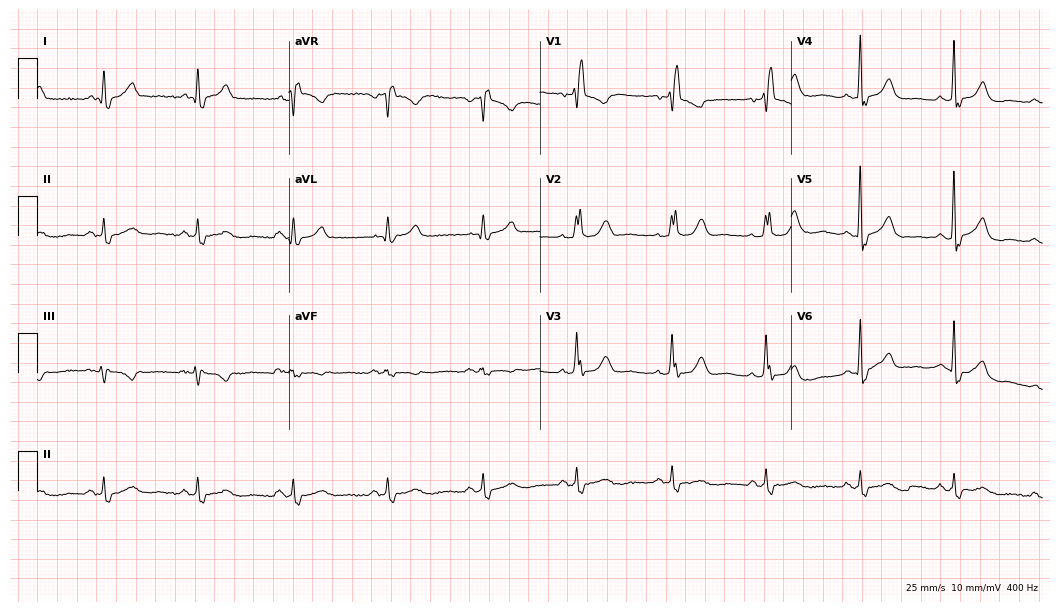
Standard 12-lead ECG recorded from a male patient, 76 years old (10.2-second recording at 400 Hz). The tracing shows right bundle branch block.